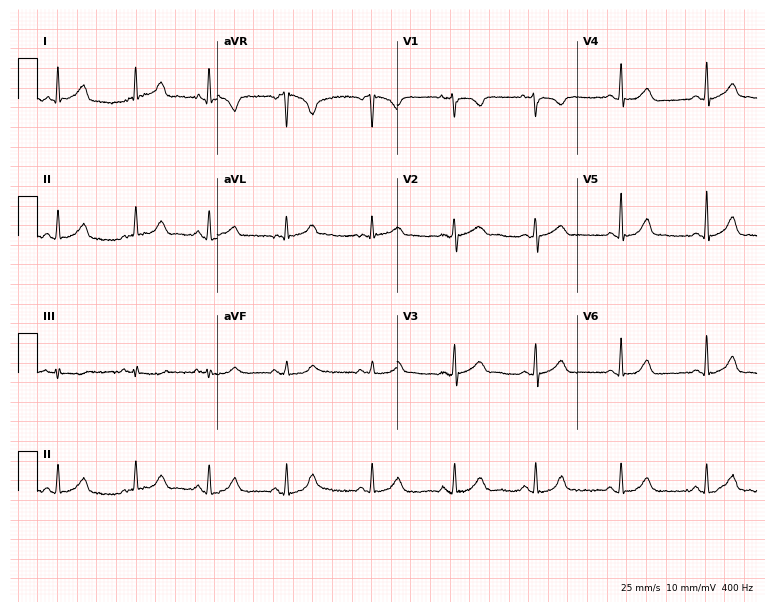
Resting 12-lead electrocardiogram. Patient: a 43-year-old female. Read as a normal ECG.